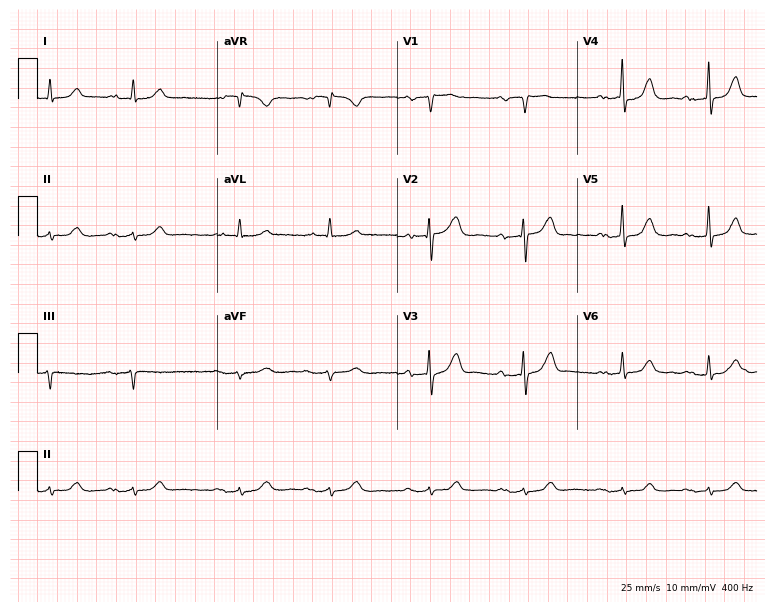
12-lead ECG (7.3-second recording at 400 Hz) from a man, 84 years old. Findings include first-degree AV block.